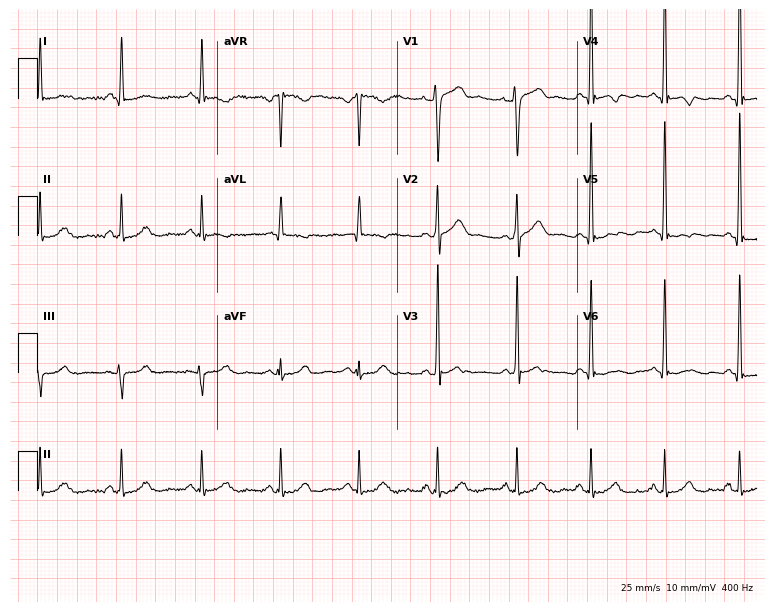
Resting 12-lead electrocardiogram. Patient: a male, 55 years old. None of these six findings is recorded: first-degree AV block, right bundle branch block, left bundle branch block, sinus bradycardia, atrial fibrillation, sinus tachycardia. Only these six findings were labelled.